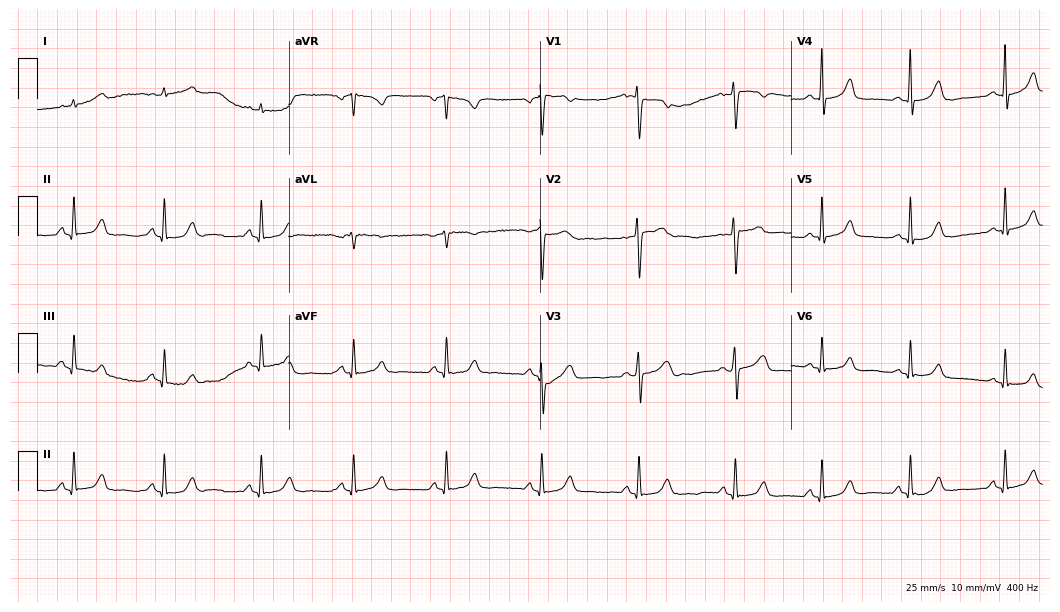
12-lead ECG from a 46-year-old female patient. Recorded interpretation: within normal limits.